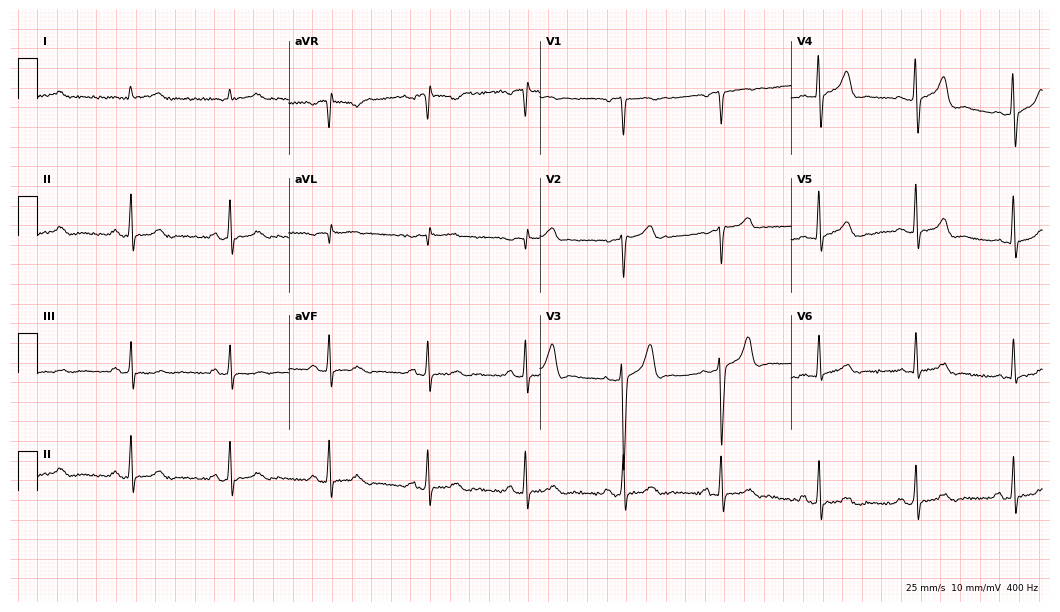
12-lead ECG from a male, 70 years old (10.2-second recording at 400 Hz). No first-degree AV block, right bundle branch block, left bundle branch block, sinus bradycardia, atrial fibrillation or sinus tachycardia recorded for this tracing.